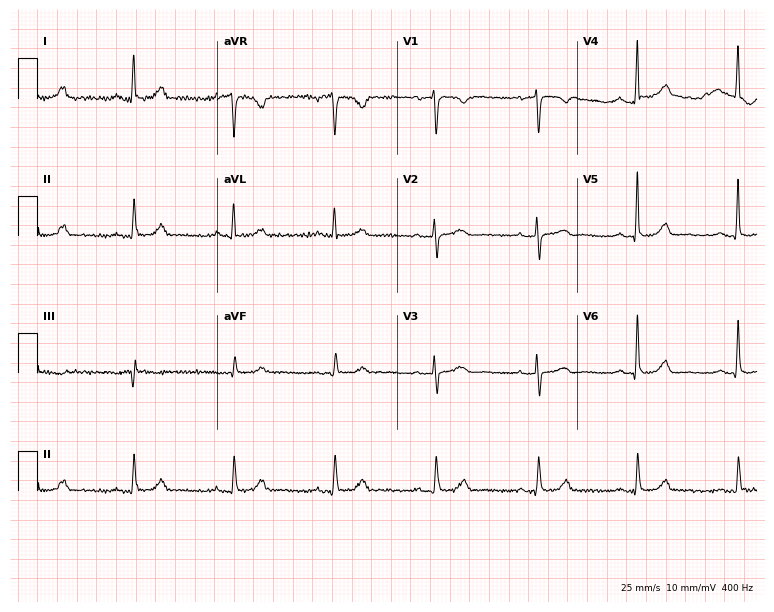
Electrocardiogram (7.3-second recording at 400 Hz), a 59-year-old female patient. Overall reading on record: normal ECG.